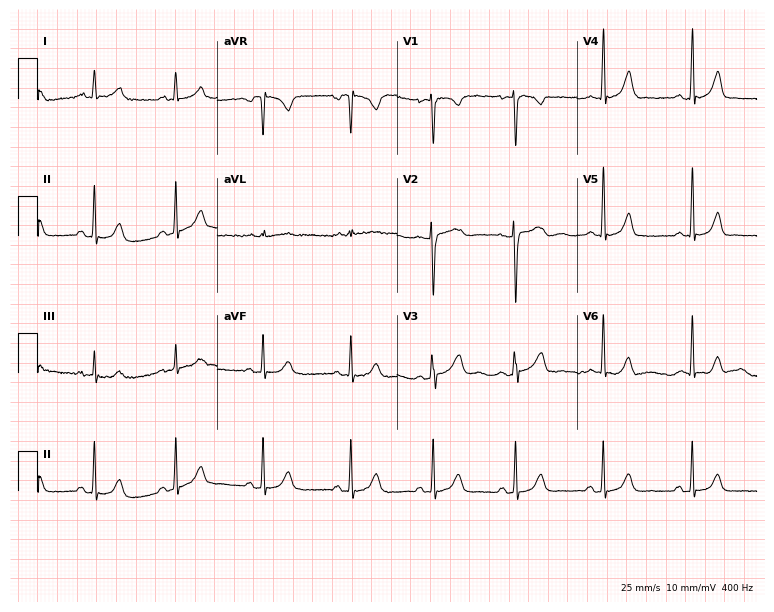
Electrocardiogram (7.3-second recording at 400 Hz), a female patient, 19 years old. Overall reading on record: normal ECG.